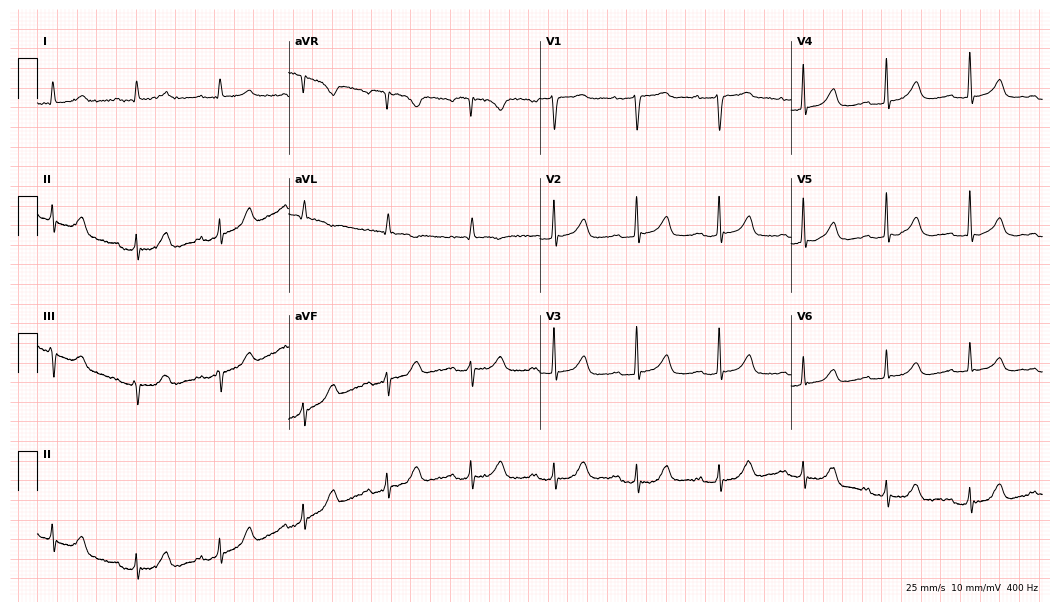
12-lead ECG from a 79-year-old female patient. Shows first-degree AV block.